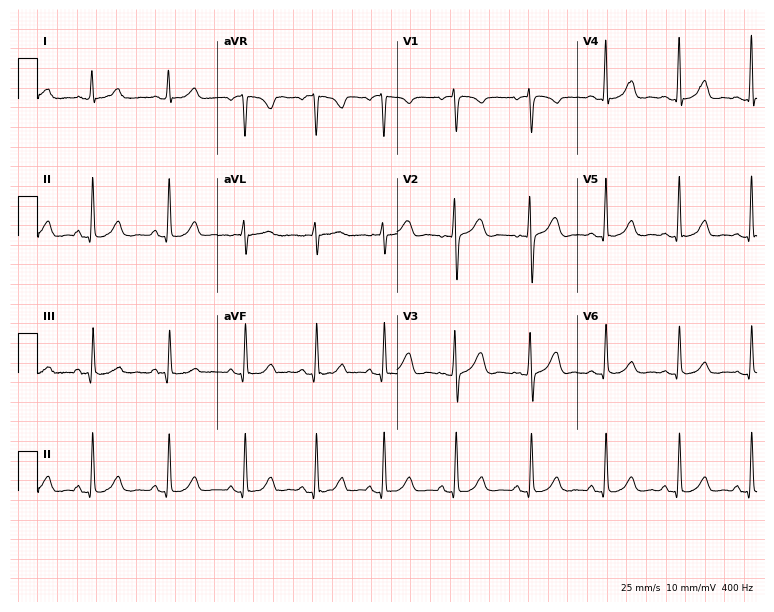
12-lead ECG from a female, 32 years old. Labelled as a normal ECG.